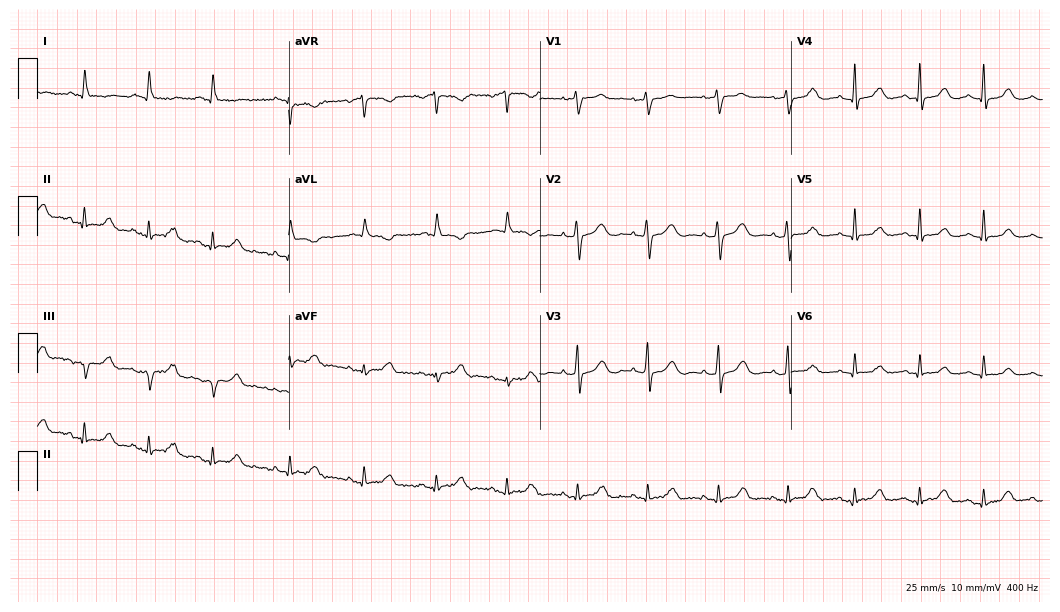
Electrocardiogram, a woman, 75 years old. Overall reading on record: normal ECG.